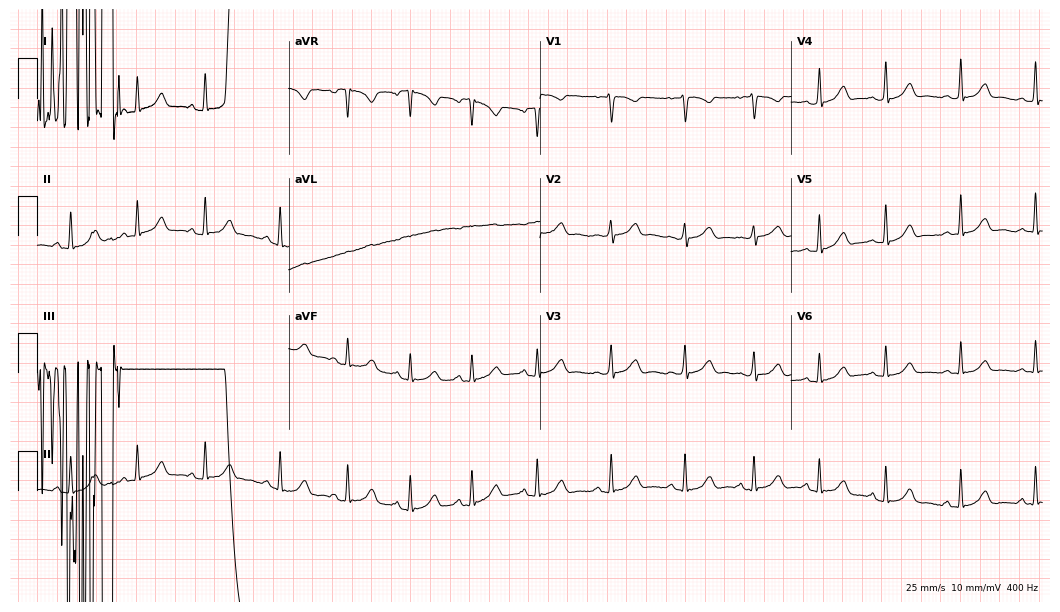
12-lead ECG from a female, 33 years old. Screened for six findings — first-degree AV block, right bundle branch block (RBBB), left bundle branch block (LBBB), sinus bradycardia, atrial fibrillation (AF), sinus tachycardia — none is recorded.